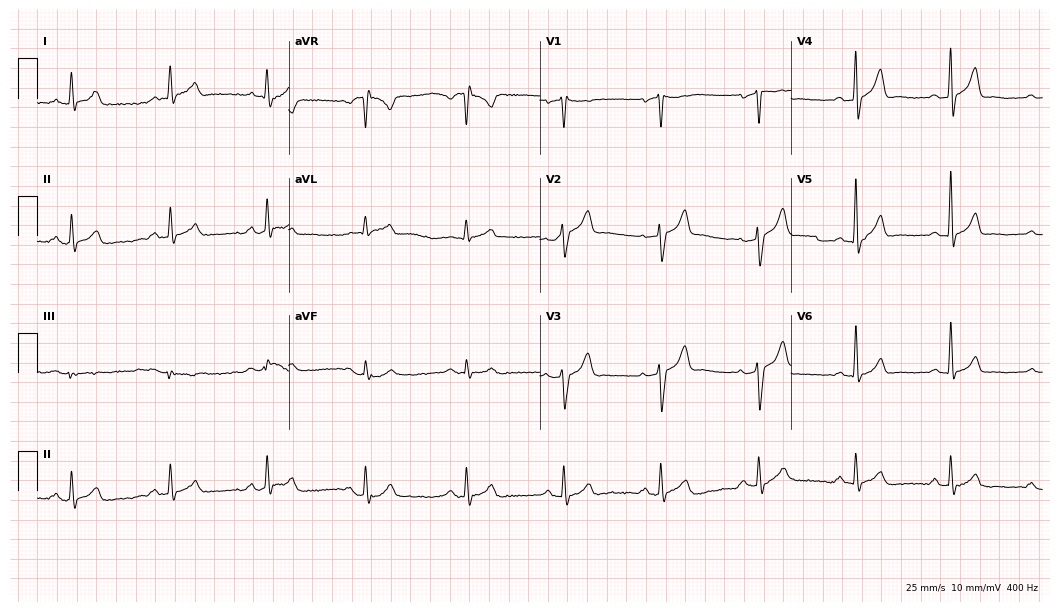
12-lead ECG (10.2-second recording at 400 Hz) from a male patient, 37 years old. Labelled as a normal ECG.